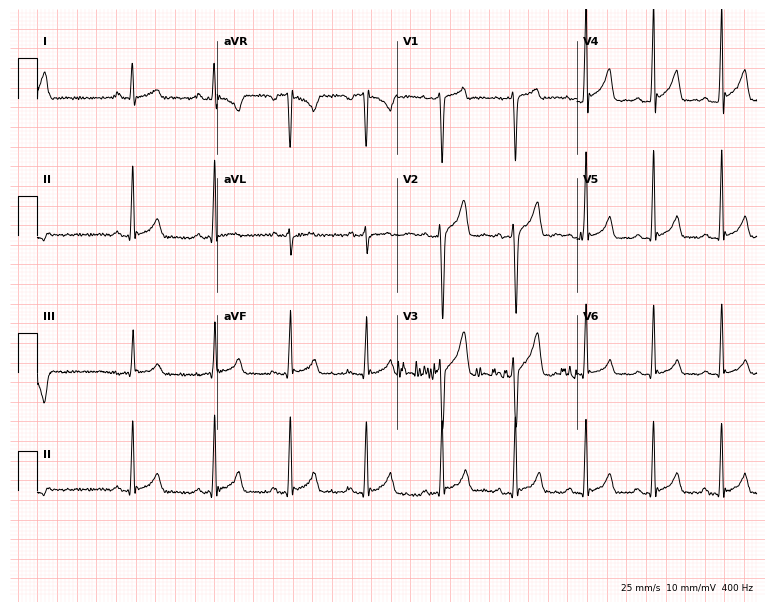
Standard 12-lead ECG recorded from a 17-year-old male. None of these six findings is recorded: first-degree AV block, right bundle branch block (RBBB), left bundle branch block (LBBB), sinus bradycardia, atrial fibrillation (AF), sinus tachycardia. Only these six findings were labelled.